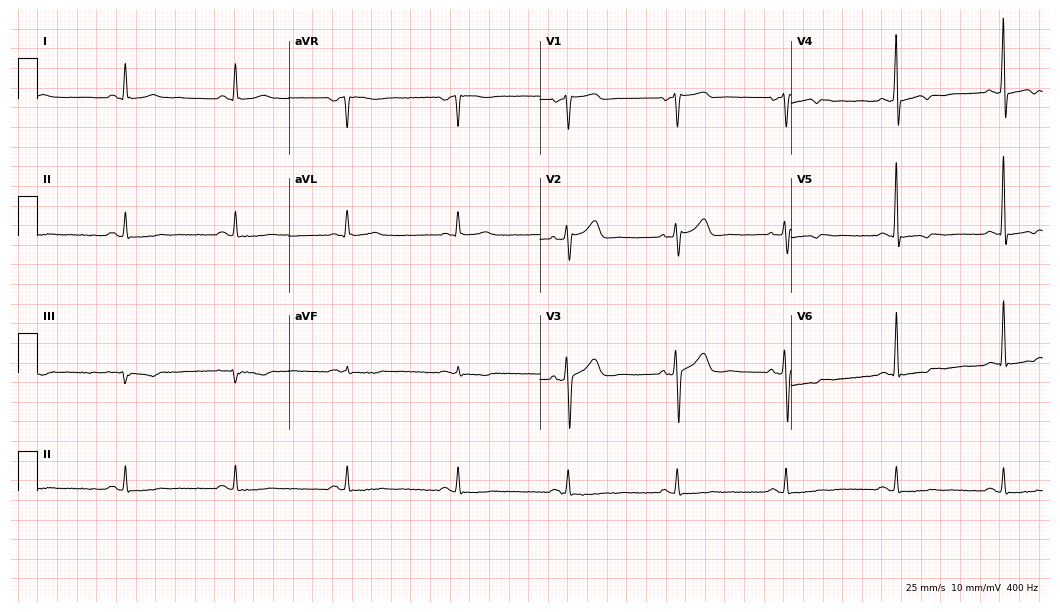
12-lead ECG from a male patient, 55 years old. No first-degree AV block, right bundle branch block, left bundle branch block, sinus bradycardia, atrial fibrillation or sinus tachycardia recorded for this tracing.